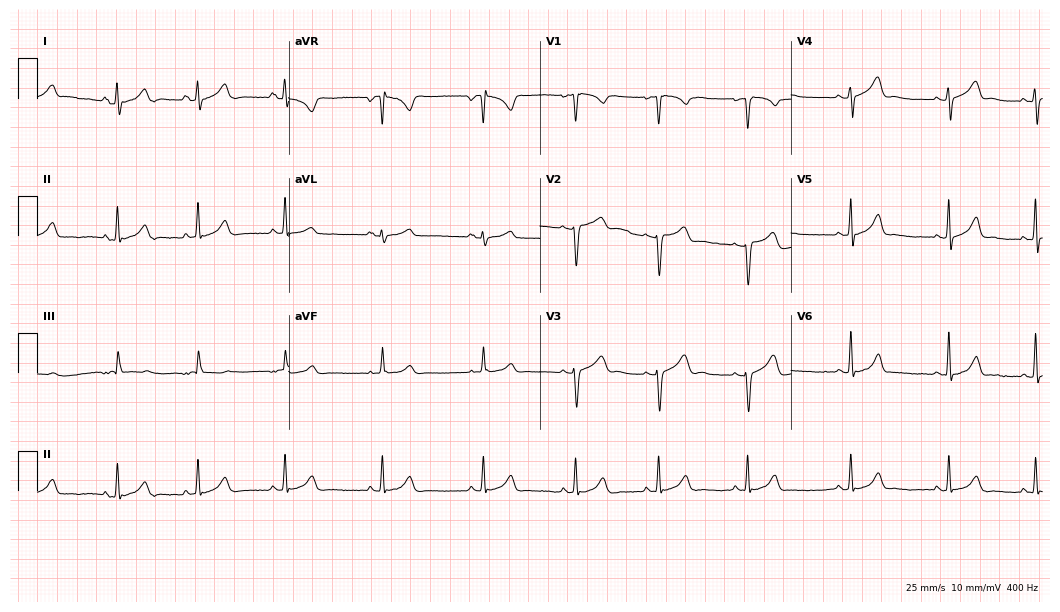
12-lead ECG from a female patient, 27 years old (10.2-second recording at 400 Hz). Recorded interpretation: within normal limits.